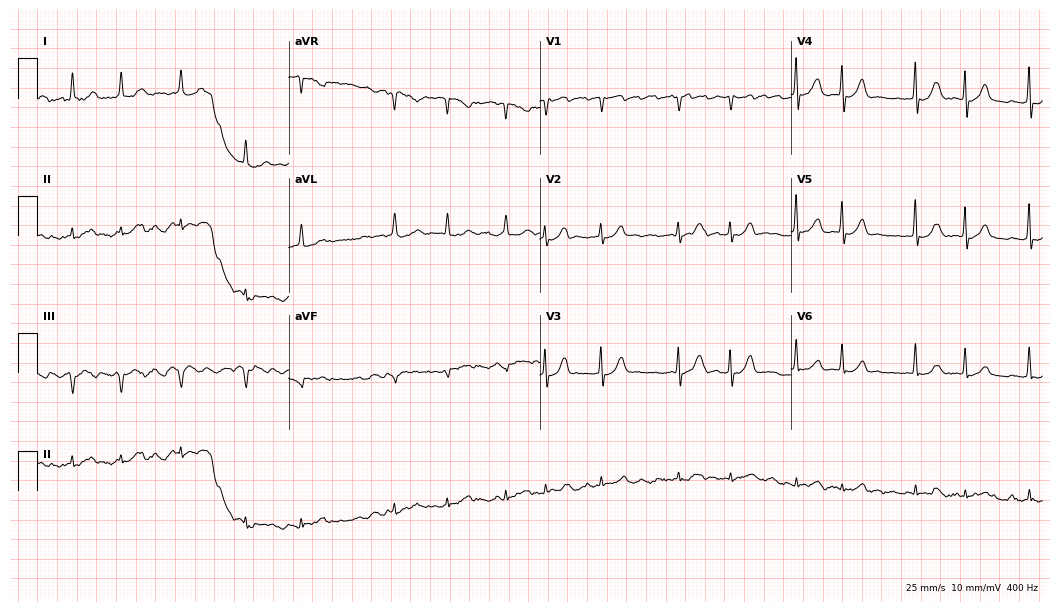
ECG (10.2-second recording at 400 Hz) — an 80-year-old woman. Findings include atrial fibrillation.